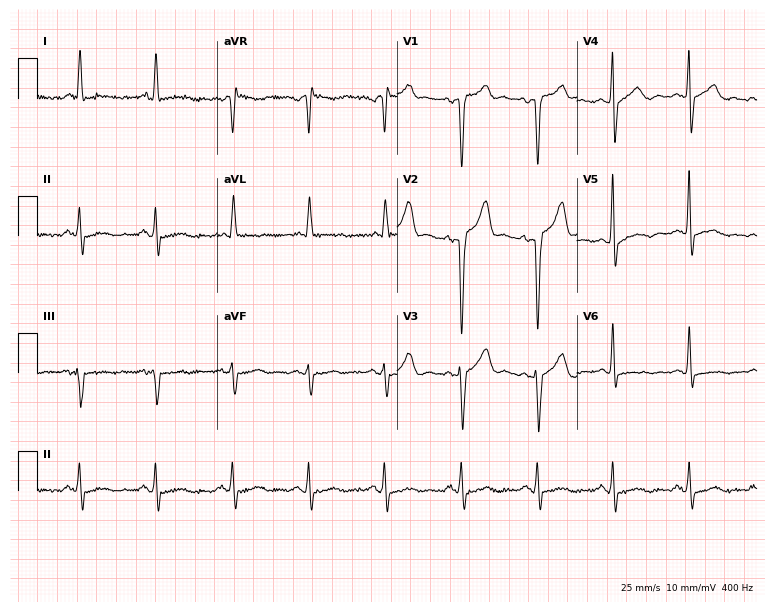
12-lead ECG (7.3-second recording at 400 Hz) from a 61-year-old male. Screened for six findings — first-degree AV block, right bundle branch block, left bundle branch block, sinus bradycardia, atrial fibrillation, sinus tachycardia — none is recorded. Other findings, if any, are not listed.